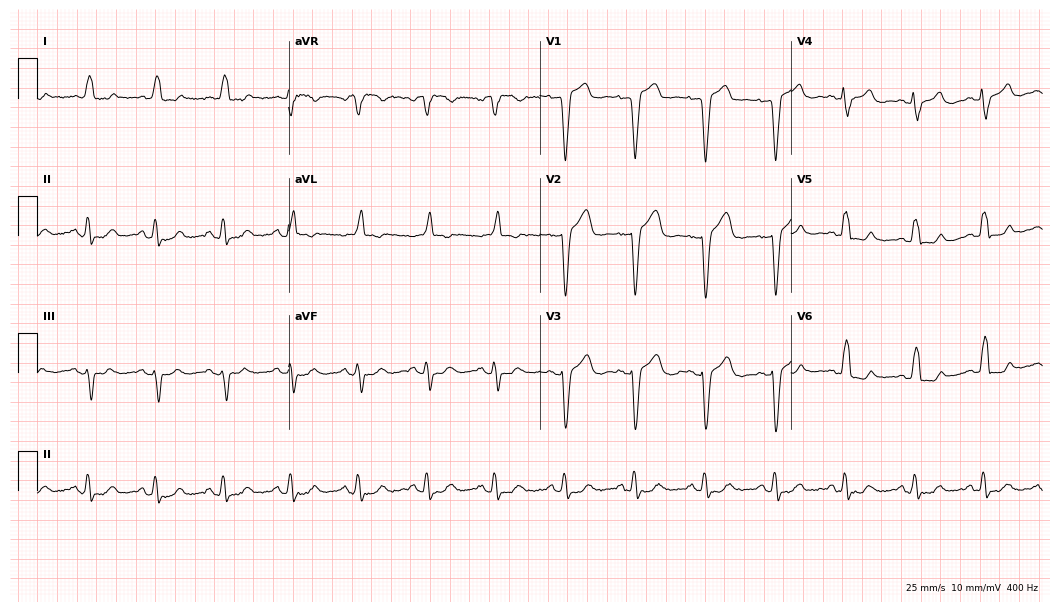
Resting 12-lead electrocardiogram. Patient: a female, 61 years old. None of these six findings is recorded: first-degree AV block, right bundle branch block, left bundle branch block, sinus bradycardia, atrial fibrillation, sinus tachycardia. Findings outside these six are not listed.